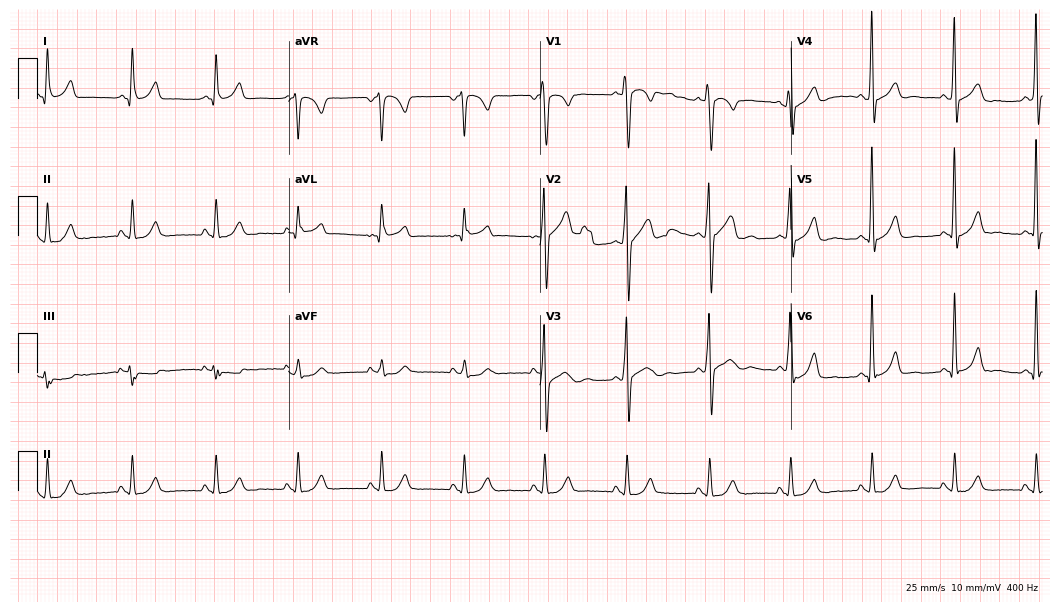
Standard 12-lead ECG recorded from a 45-year-old man (10.2-second recording at 400 Hz). Read as a normal ECG.